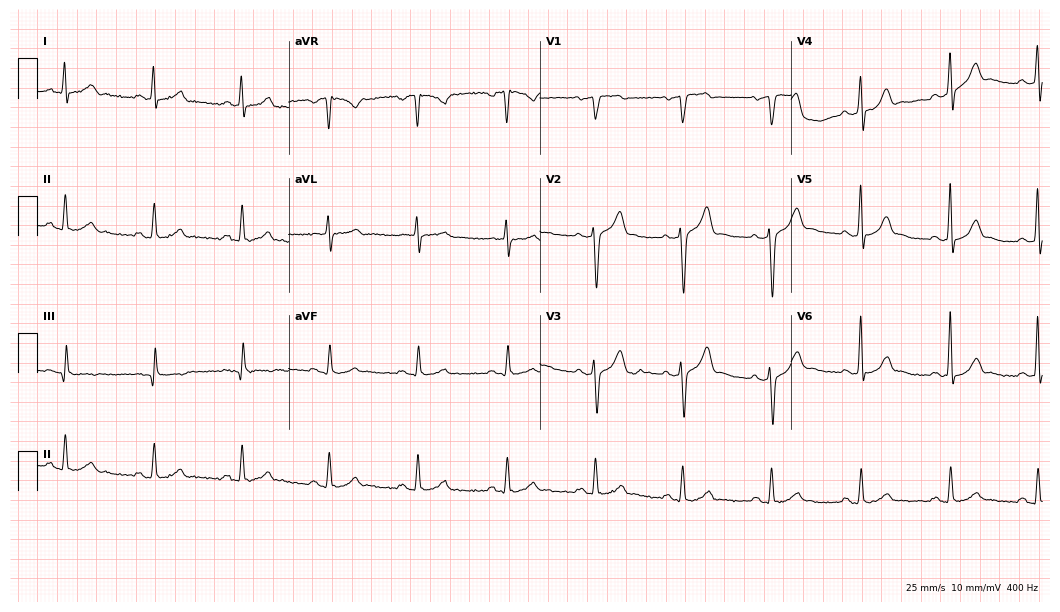
Standard 12-lead ECG recorded from a 61-year-old male patient (10.2-second recording at 400 Hz). Read as a normal ECG.